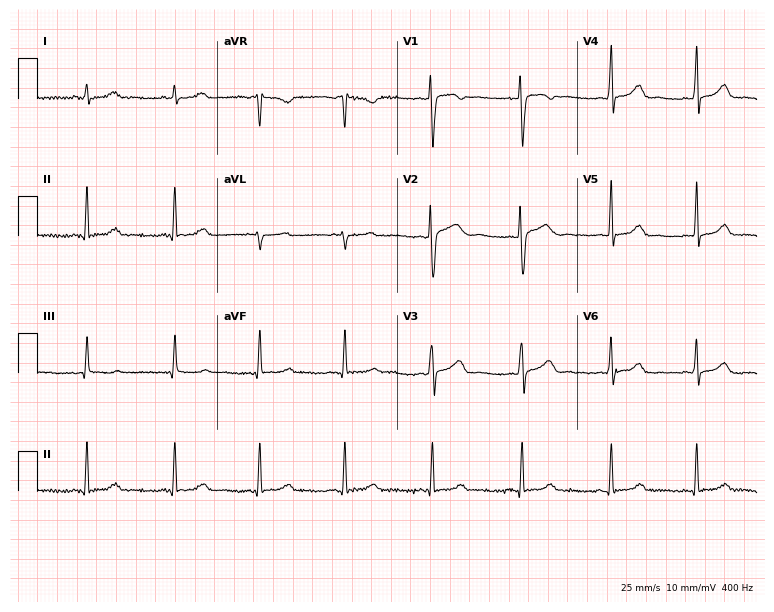
Electrocardiogram (7.3-second recording at 400 Hz), a female patient, 50 years old. Overall reading on record: normal ECG.